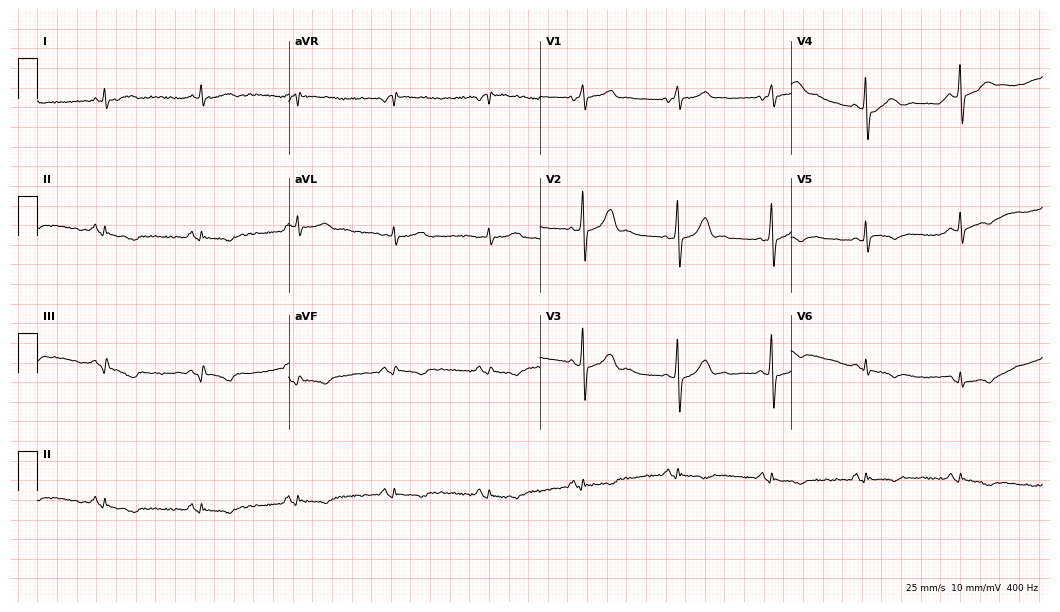
Electrocardiogram (10.2-second recording at 400 Hz), a male, 66 years old. Of the six screened findings (first-degree AV block, right bundle branch block, left bundle branch block, sinus bradycardia, atrial fibrillation, sinus tachycardia), none is recorded.